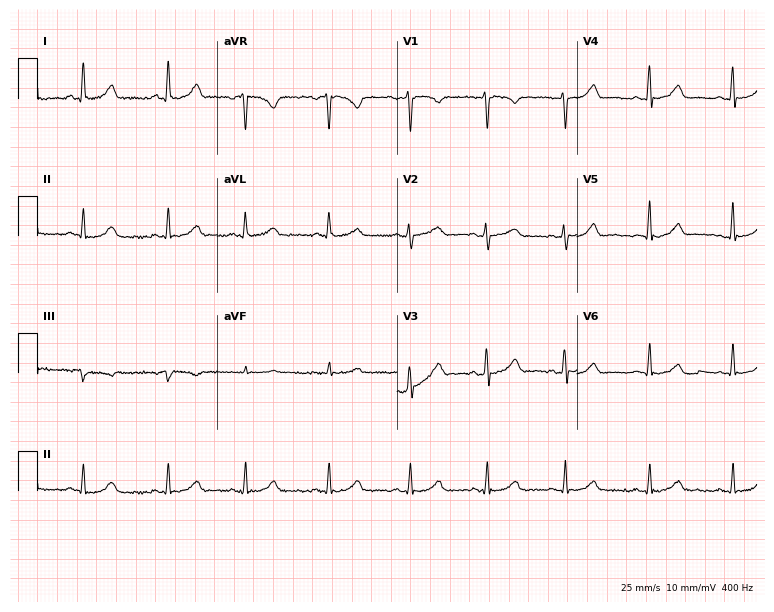
Electrocardiogram, a woman, 38 years old. Of the six screened findings (first-degree AV block, right bundle branch block (RBBB), left bundle branch block (LBBB), sinus bradycardia, atrial fibrillation (AF), sinus tachycardia), none is recorded.